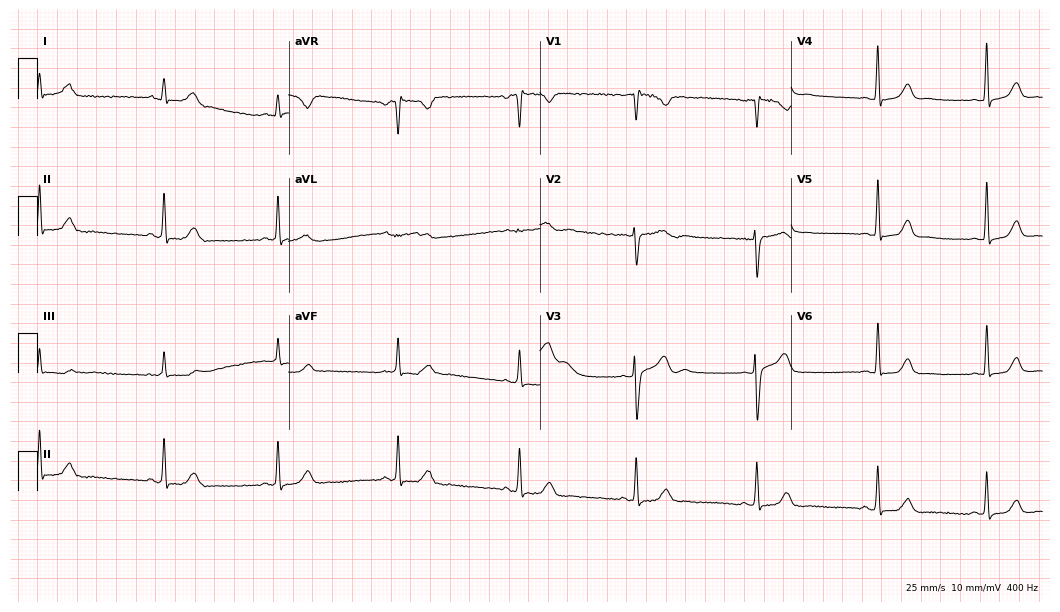
12-lead ECG from a 23-year-old woman (10.2-second recording at 400 Hz). Recorded interpretation: within normal limits.